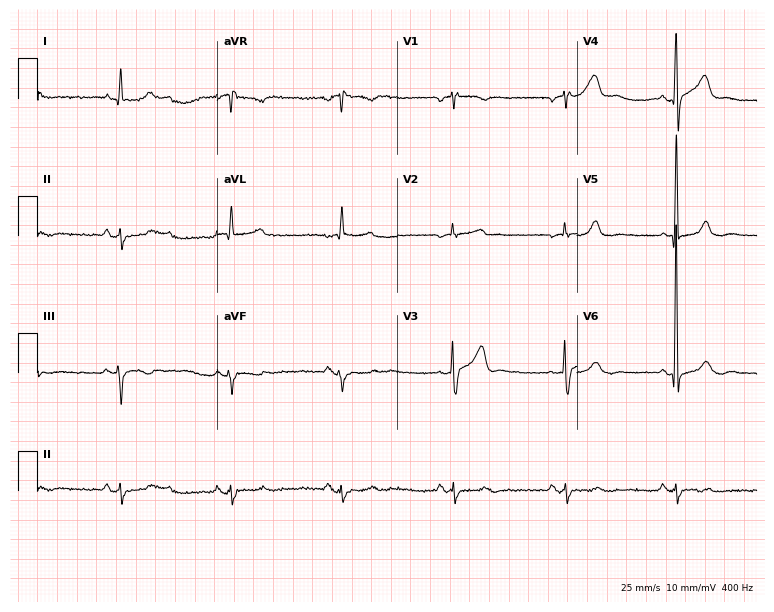
Resting 12-lead electrocardiogram. Patient: a 70-year-old man. None of these six findings is recorded: first-degree AV block, right bundle branch block (RBBB), left bundle branch block (LBBB), sinus bradycardia, atrial fibrillation (AF), sinus tachycardia.